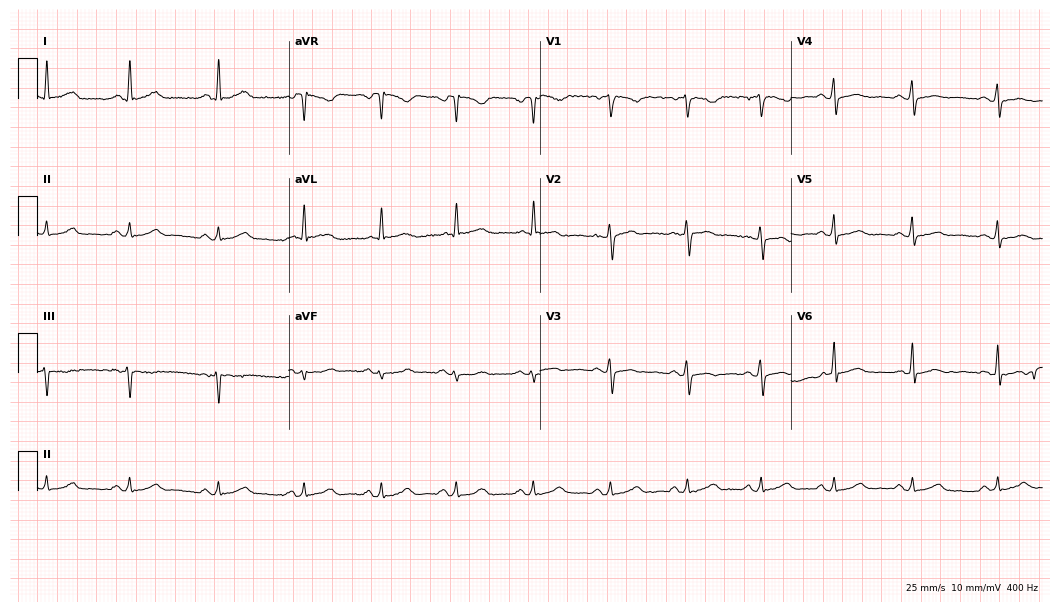
Standard 12-lead ECG recorded from a woman, 36 years old. None of these six findings is recorded: first-degree AV block, right bundle branch block (RBBB), left bundle branch block (LBBB), sinus bradycardia, atrial fibrillation (AF), sinus tachycardia. Findings outside these six are not listed.